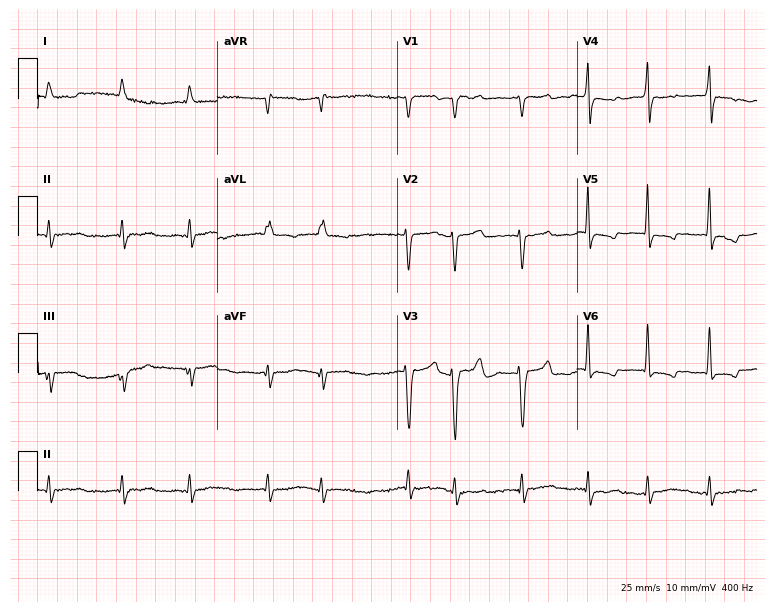
Resting 12-lead electrocardiogram. Patient: a 70-year-old woman. The tracing shows atrial fibrillation (AF).